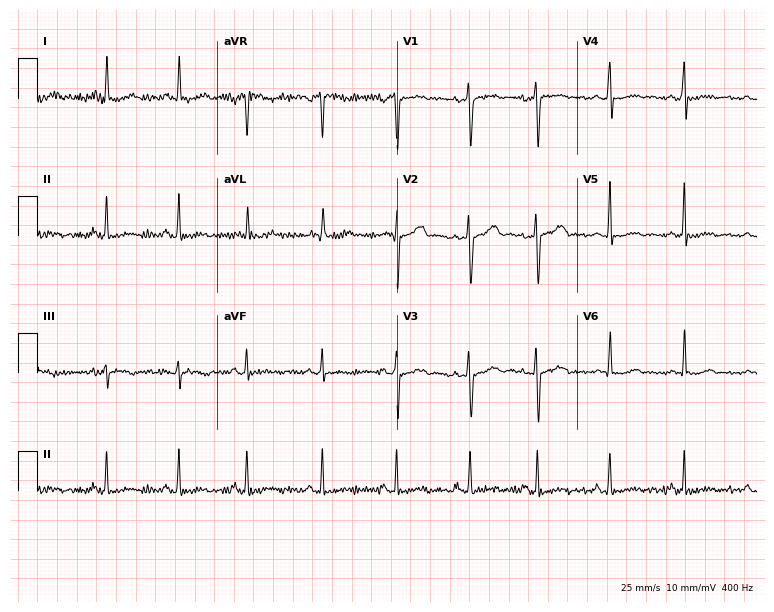
Standard 12-lead ECG recorded from a 43-year-old woman. None of these six findings is recorded: first-degree AV block, right bundle branch block, left bundle branch block, sinus bradycardia, atrial fibrillation, sinus tachycardia.